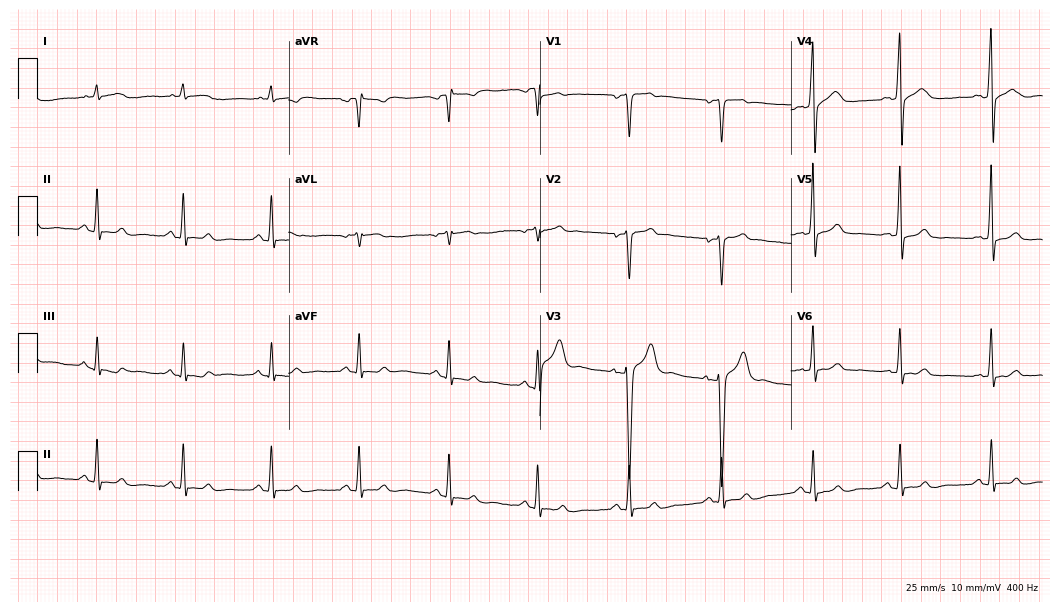
ECG (10.2-second recording at 400 Hz) — a male patient, 31 years old. Labelled as a normal ECG.